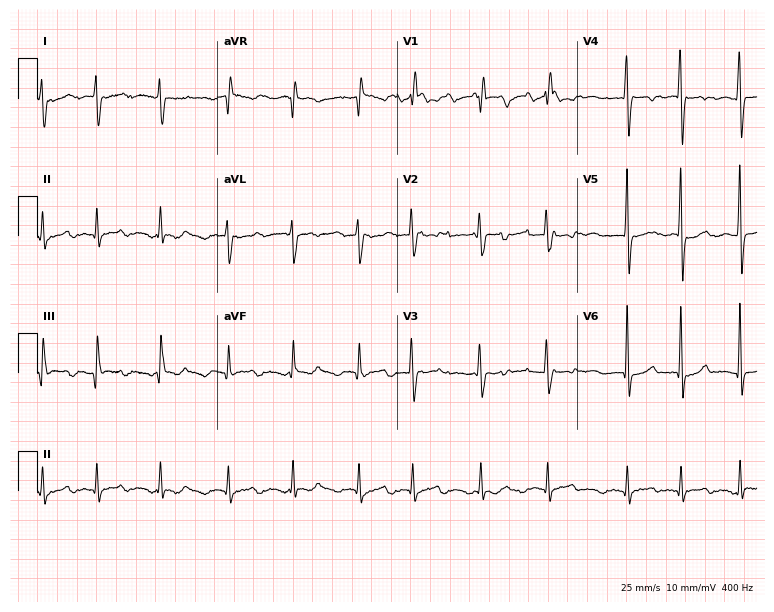
Resting 12-lead electrocardiogram. Patient: a woman, 31 years old. None of these six findings is recorded: first-degree AV block, right bundle branch block, left bundle branch block, sinus bradycardia, atrial fibrillation, sinus tachycardia. Only these six findings were labelled.